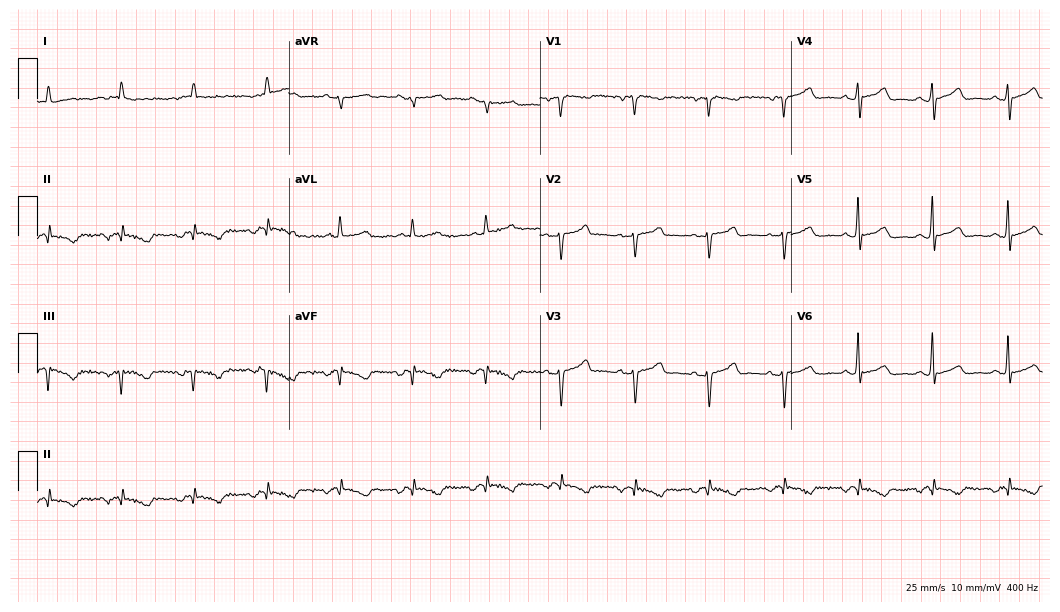
Standard 12-lead ECG recorded from a female, 64 years old (10.2-second recording at 400 Hz). None of these six findings is recorded: first-degree AV block, right bundle branch block (RBBB), left bundle branch block (LBBB), sinus bradycardia, atrial fibrillation (AF), sinus tachycardia.